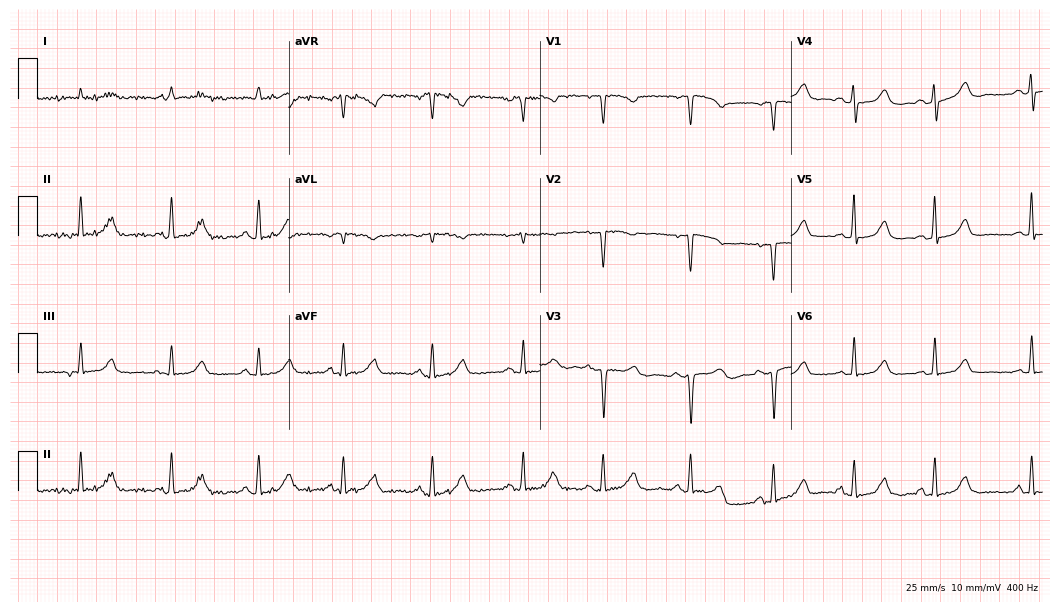
Electrocardiogram (10.2-second recording at 400 Hz), a female patient, 78 years old. Of the six screened findings (first-degree AV block, right bundle branch block (RBBB), left bundle branch block (LBBB), sinus bradycardia, atrial fibrillation (AF), sinus tachycardia), none is recorded. Only these six findings were labelled.